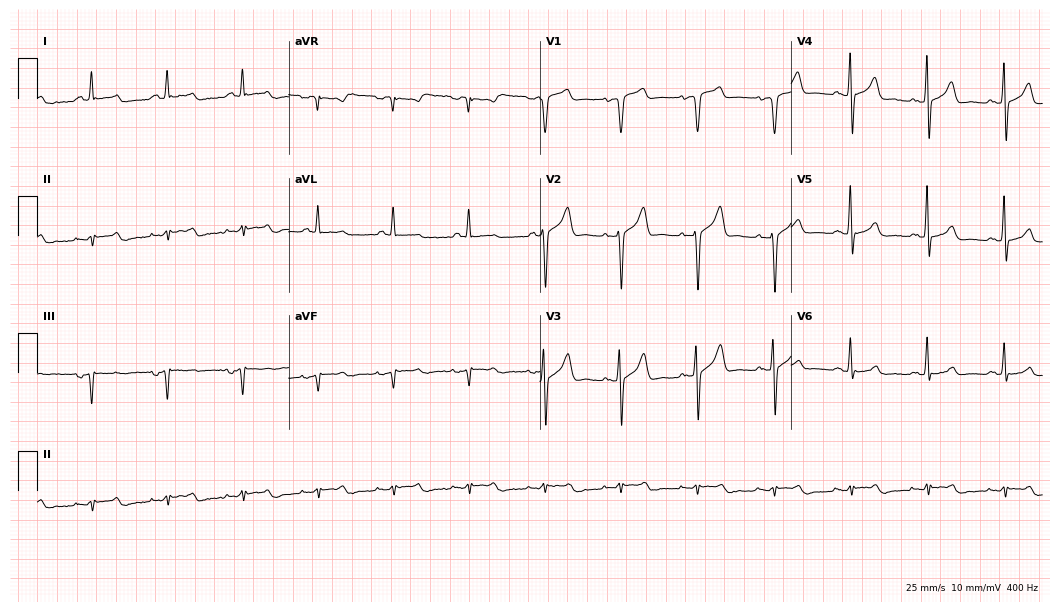
12-lead ECG from a man, 68 years old. Screened for six findings — first-degree AV block, right bundle branch block (RBBB), left bundle branch block (LBBB), sinus bradycardia, atrial fibrillation (AF), sinus tachycardia — none is recorded. Findings outside these six are not listed.